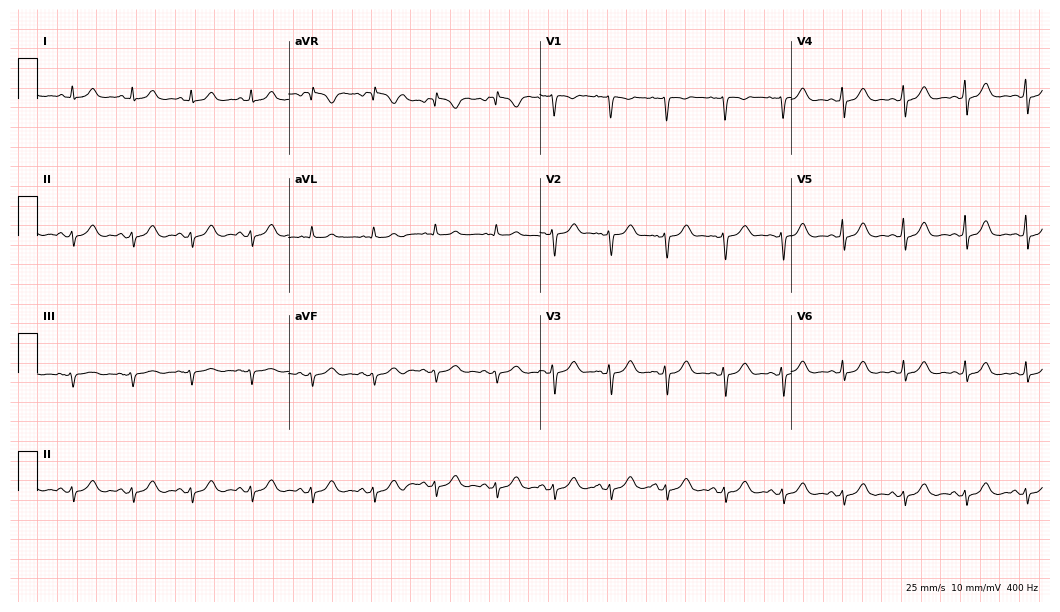
12-lead ECG (10.2-second recording at 400 Hz) from a 38-year-old female. Screened for six findings — first-degree AV block, right bundle branch block (RBBB), left bundle branch block (LBBB), sinus bradycardia, atrial fibrillation (AF), sinus tachycardia — none is recorded. Other findings, if any, are not listed.